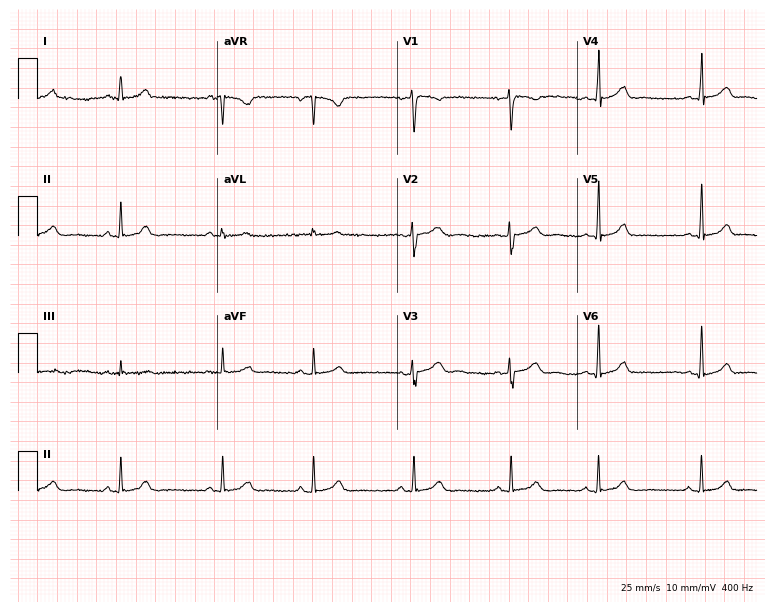
ECG (7.3-second recording at 400 Hz) — a 25-year-old female patient. Labelled as a normal ECG.